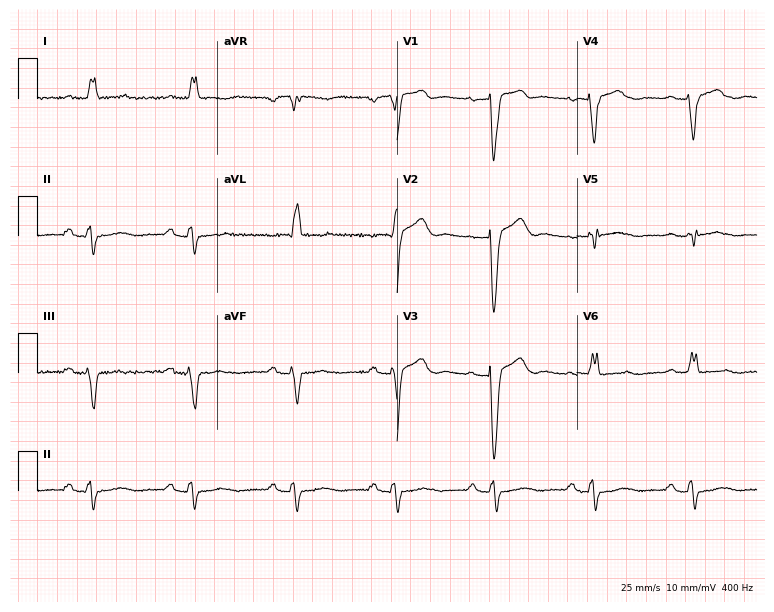
12-lead ECG from a woman, 77 years old. Shows first-degree AV block.